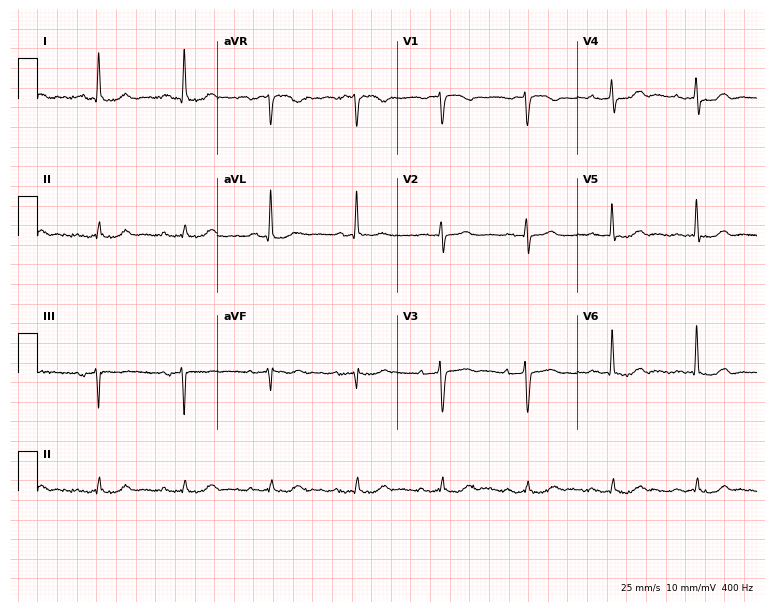
Resting 12-lead electrocardiogram. Patient: a 79-year-old male. None of these six findings is recorded: first-degree AV block, right bundle branch block (RBBB), left bundle branch block (LBBB), sinus bradycardia, atrial fibrillation (AF), sinus tachycardia. Findings outside these six are not listed.